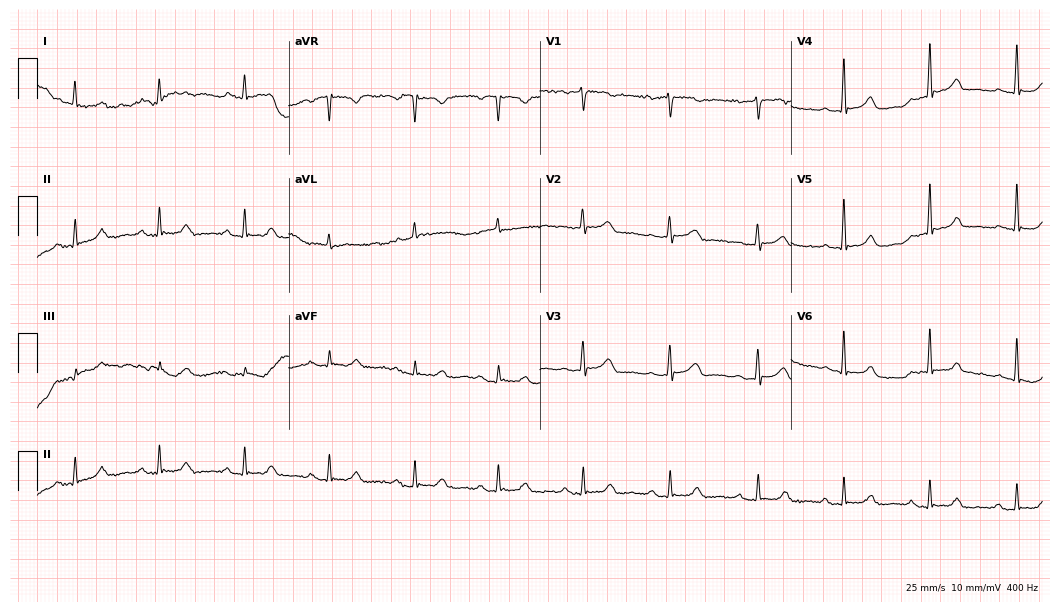
12-lead ECG (10.2-second recording at 400 Hz) from a female, 58 years old. Labelled as a normal ECG.